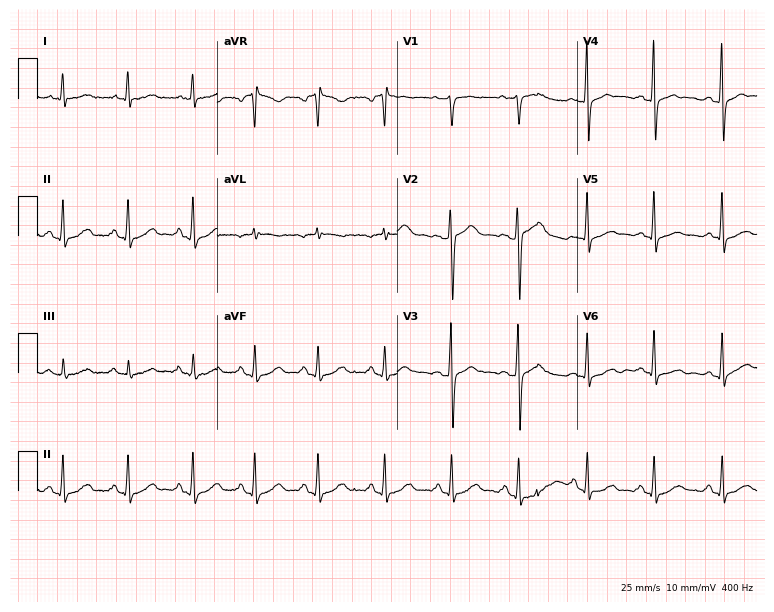
ECG (7.3-second recording at 400 Hz) — a 54-year-old female. Screened for six findings — first-degree AV block, right bundle branch block, left bundle branch block, sinus bradycardia, atrial fibrillation, sinus tachycardia — none is recorded. Only these six findings were labelled.